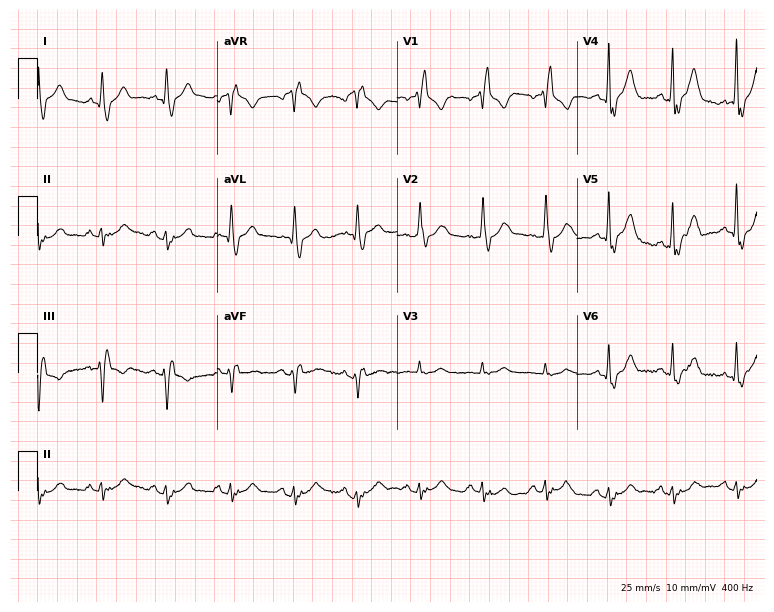
Resting 12-lead electrocardiogram. Patient: a man, 70 years old. The tracing shows right bundle branch block.